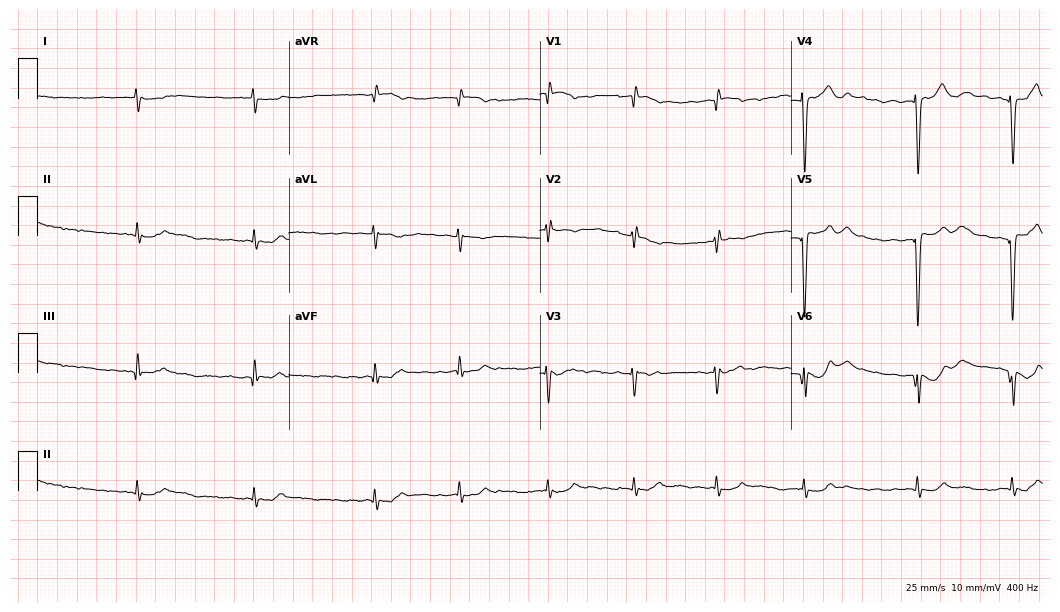
Standard 12-lead ECG recorded from a 64-year-old female patient. None of these six findings is recorded: first-degree AV block, right bundle branch block, left bundle branch block, sinus bradycardia, atrial fibrillation, sinus tachycardia.